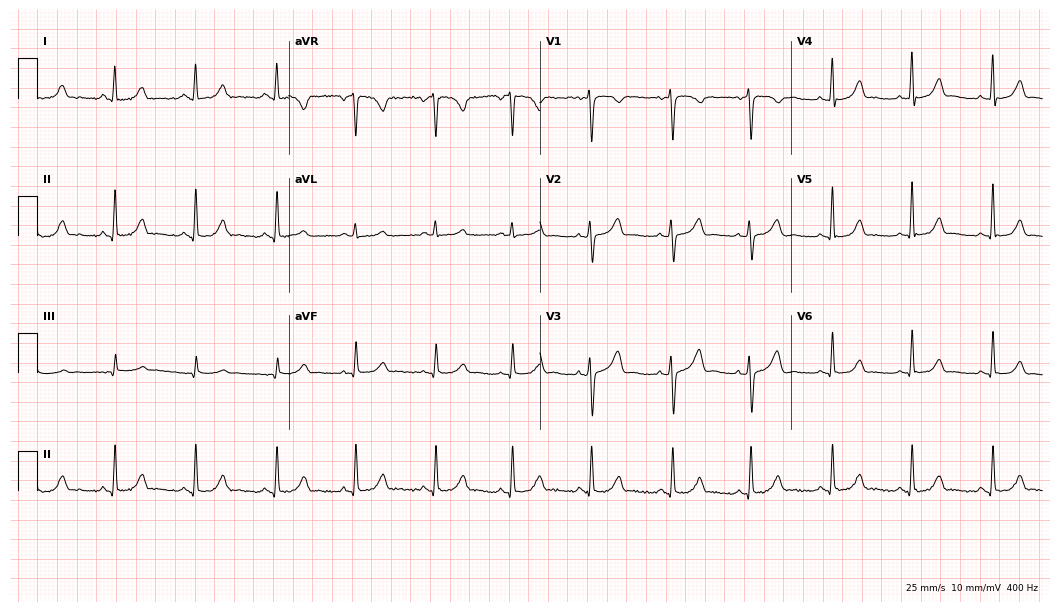
Resting 12-lead electrocardiogram (10.2-second recording at 400 Hz). Patient: a 43-year-old woman. None of these six findings is recorded: first-degree AV block, right bundle branch block, left bundle branch block, sinus bradycardia, atrial fibrillation, sinus tachycardia.